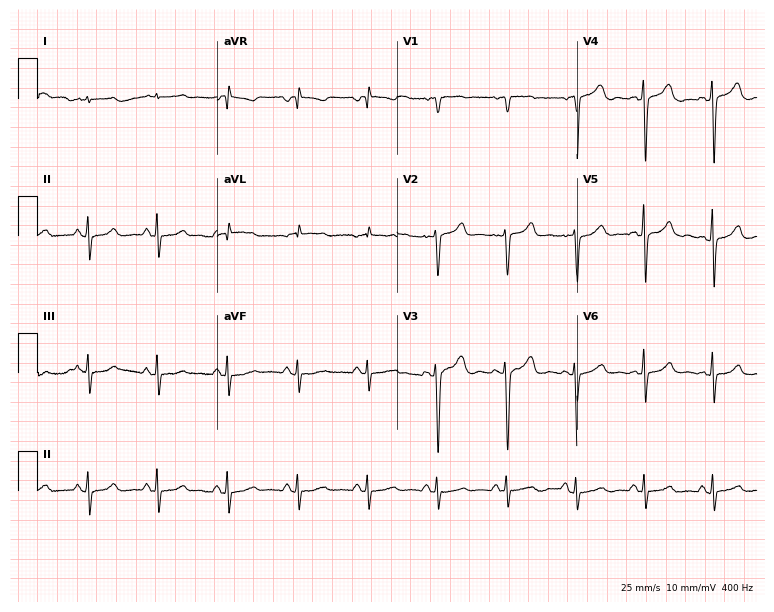
ECG (7.3-second recording at 400 Hz) — a 51-year-old woman. Screened for six findings — first-degree AV block, right bundle branch block, left bundle branch block, sinus bradycardia, atrial fibrillation, sinus tachycardia — none is recorded. Only these six findings were labelled.